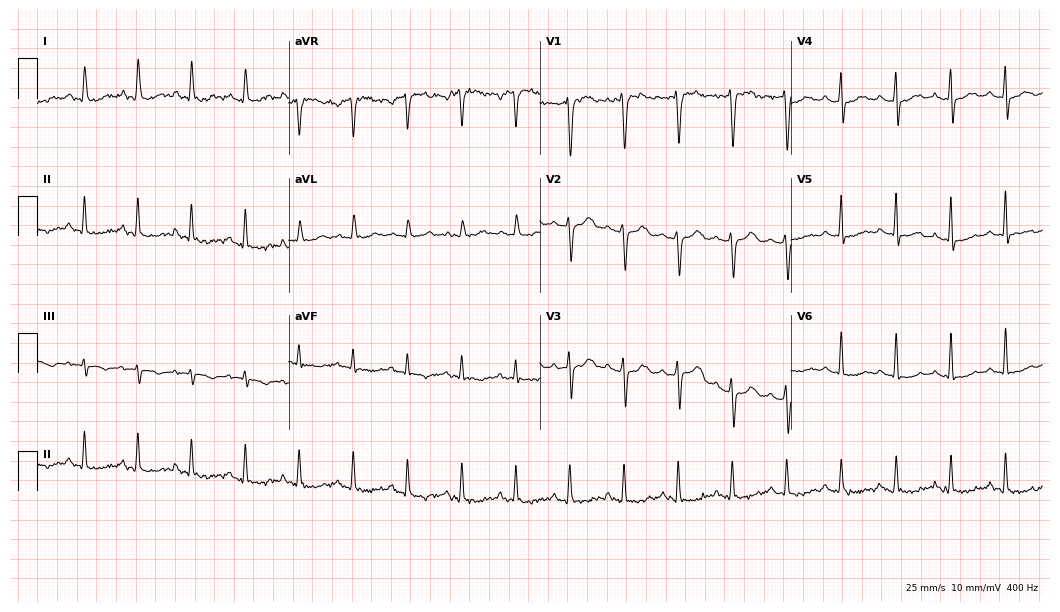
12-lead ECG from a 53-year-old woman. Screened for six findings — first-degree AV block, right bundle branch block, left bundle branch block, sinus bradycardia, atrial fibrillation, sinus tachycardia — none is recorded. Other findings, if any, are not listed.